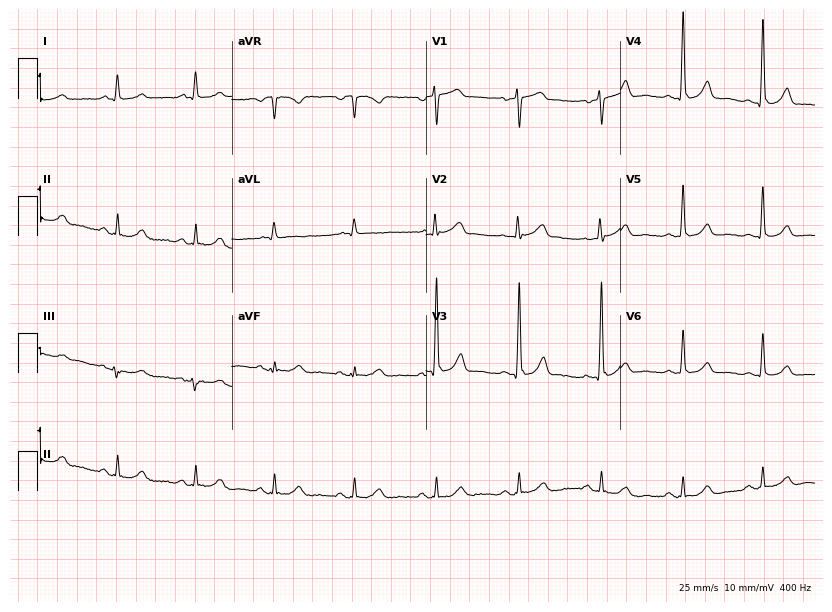
Resting 12-lead electrocardiogram (7.9-second recording at 400 Hz). Patient: a male, 61 years old. None of these six findings is recorded: first-degree AV block, right bundle branch block, left bundle branch block, sinus bradycardia, atrial fibrillation, sinus tachycardia.